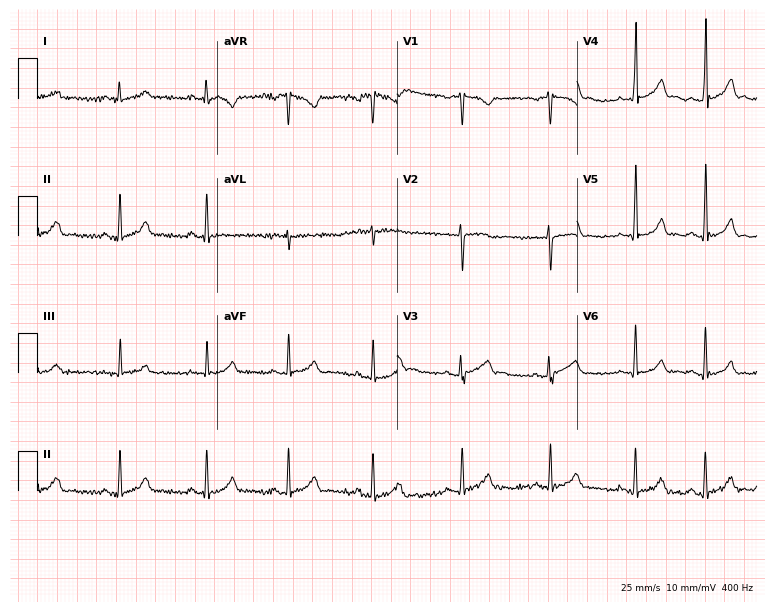
ECG (7.3-second recording at 400 Hz) — an 18-year-old male. Labelled as a normal ECG.